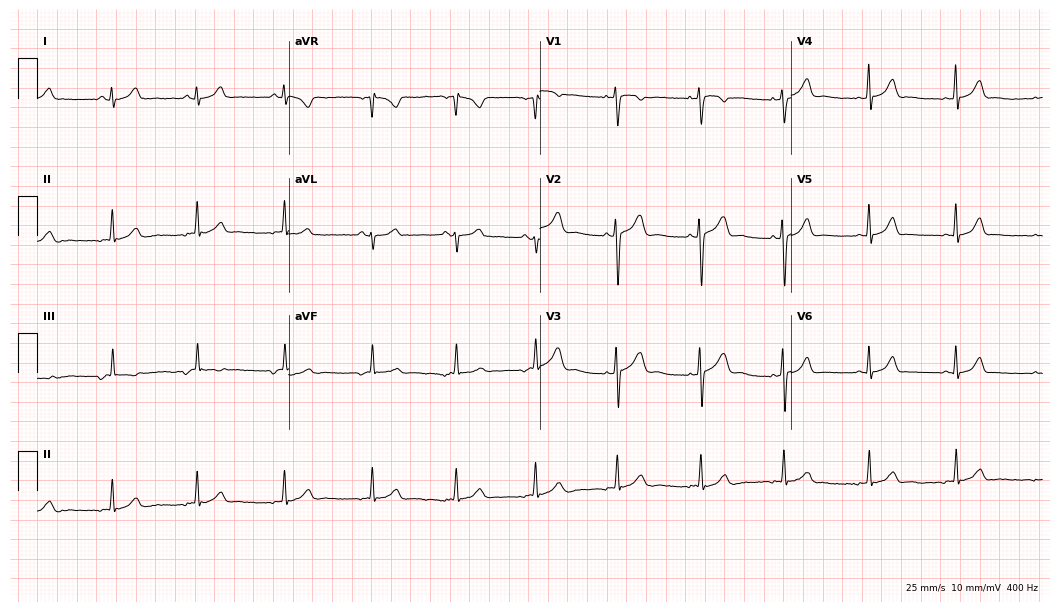
12-lead ECG (10.2-second recording at 400 Hz) from a 22-year-old woman. Screened for six findings — first-degree AV block, right bundle branch block, left bundle branch block, sinus bradycardia, atrial fibrillation, sinus tachycardia — none is recorded.